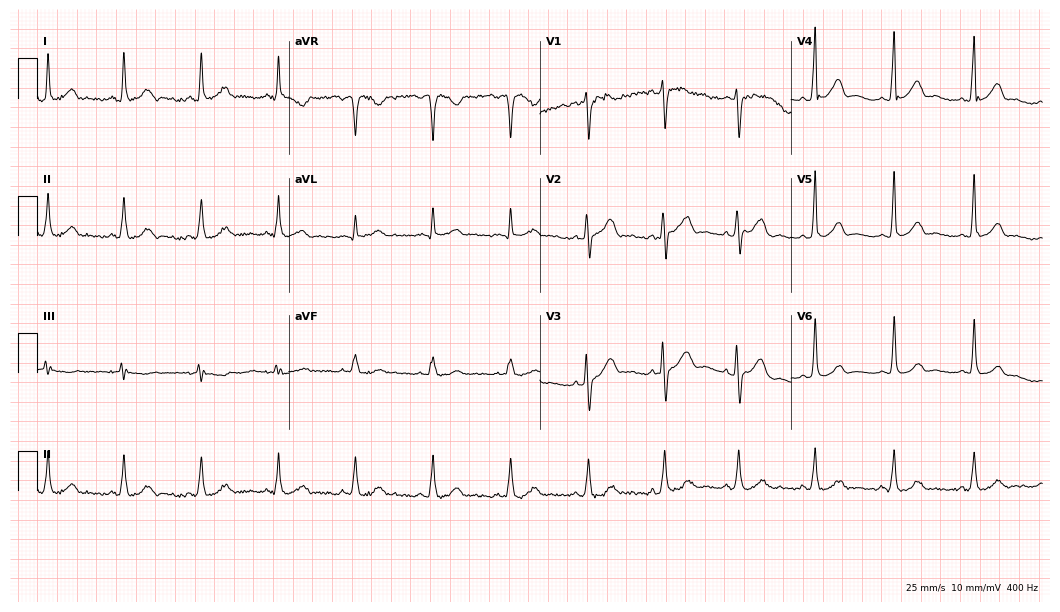
12-lead ECG from a female, 40 years old (10.2-second recording at 400 Hz). Recorded interpretation: within normal limits.